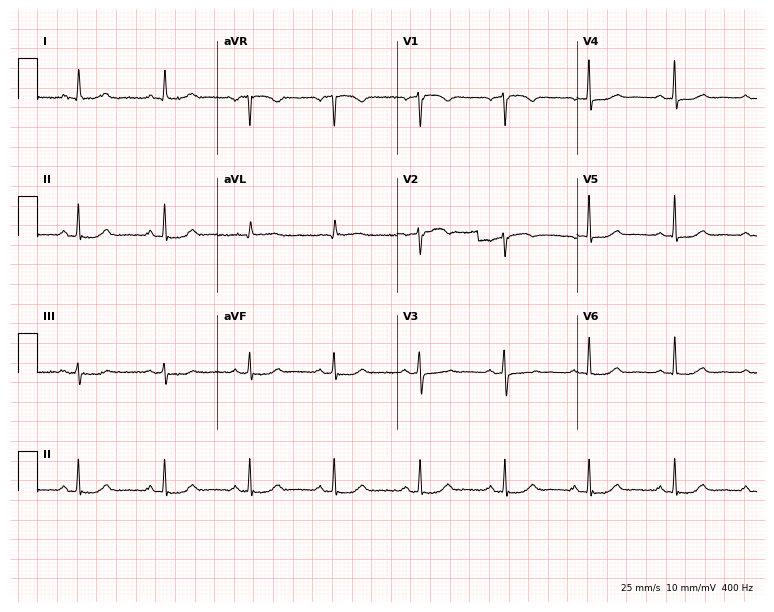
Standard 12-lead ECG recorded from a woman, 55 years old (7.3-second recording at 400 Hz). None of these six findings is recorded: first-degree AV block, right bundle branch block (RBBB), left bundle branch block (LBBB), sinus bradycardia, atrial fibrillation (AF), sinus tachycardia.